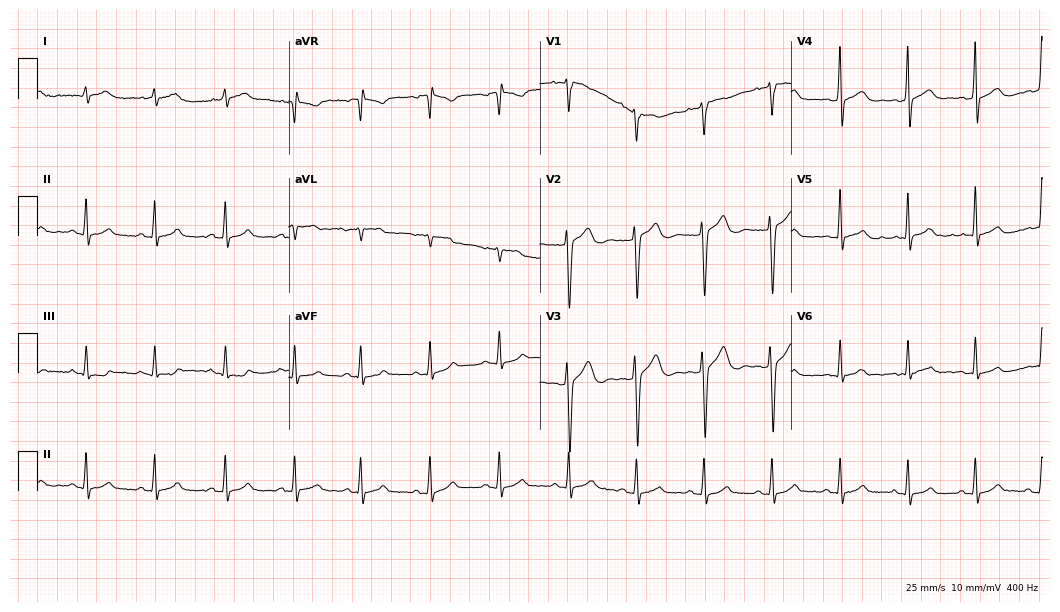
12-lead ECG from a male, 22 years old. Labelled as a normal ECG.